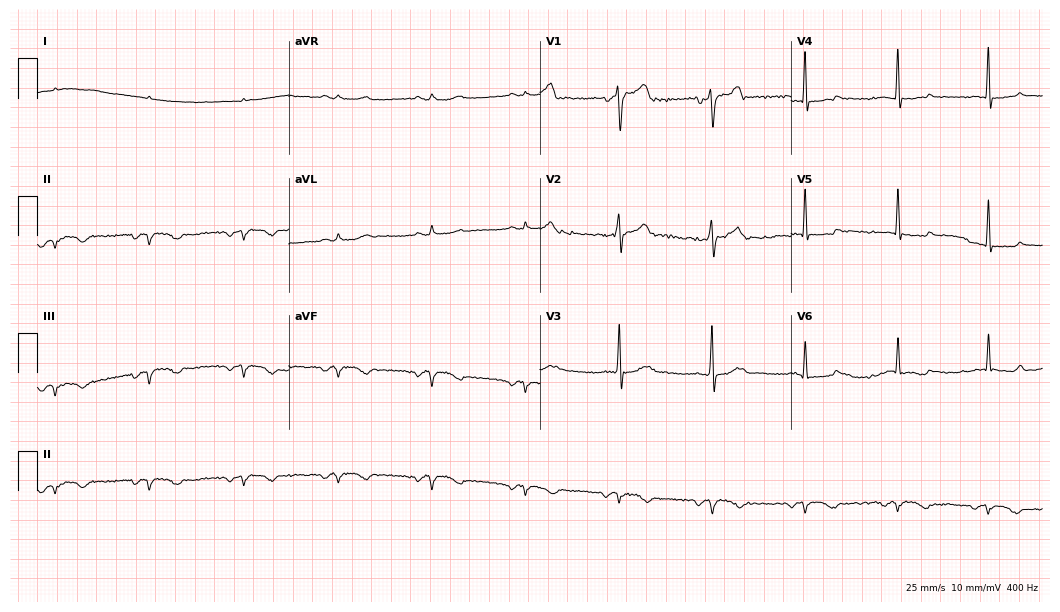
12-lead ECG from a 77-year-old man. Recorded interpretation: within normal limits.